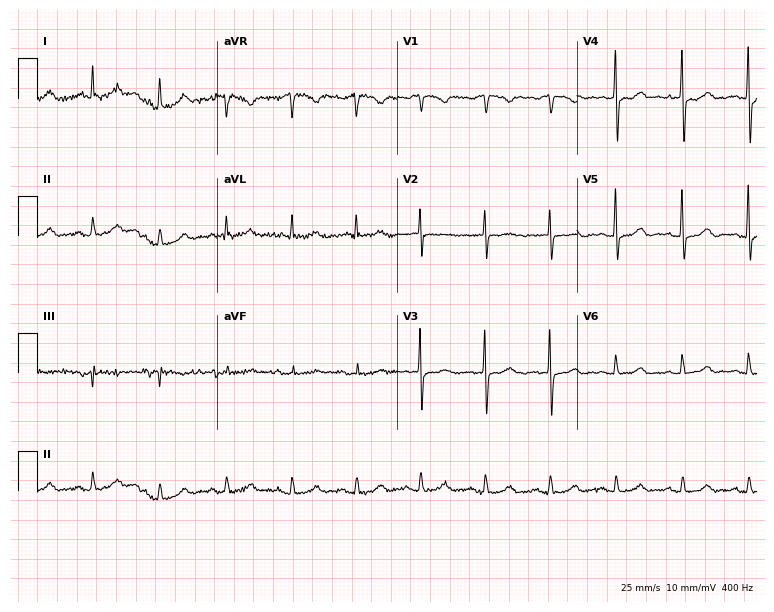
12-lead ECG (7.3-second recording at 400 Hz) from a female, 78 years old. Screened for six findings — first-degree AV block, right bundle branch block (RBBB), left bundle branch block (LBBB), sinus bradycardia, atrial fibrillation (AF), sinus tachycardia — none is recorded.